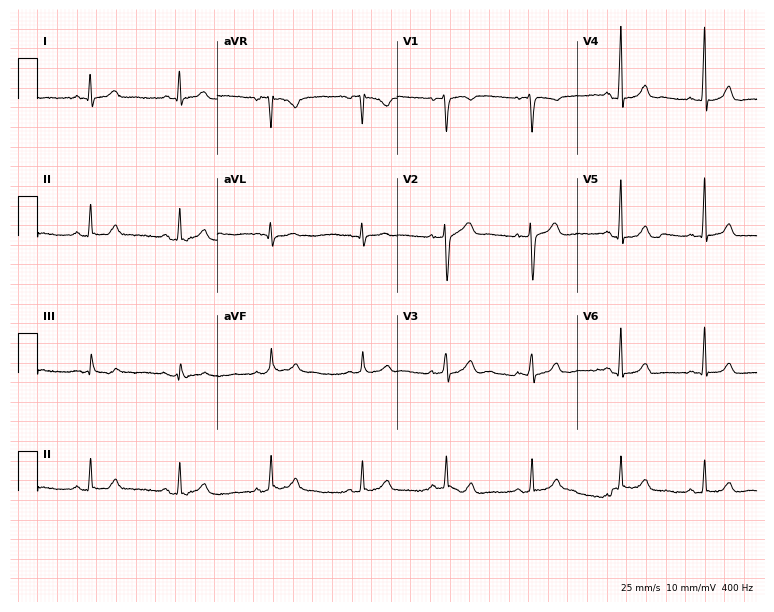
ECG — a female, 39 years old. Labelled as a normal ECG.